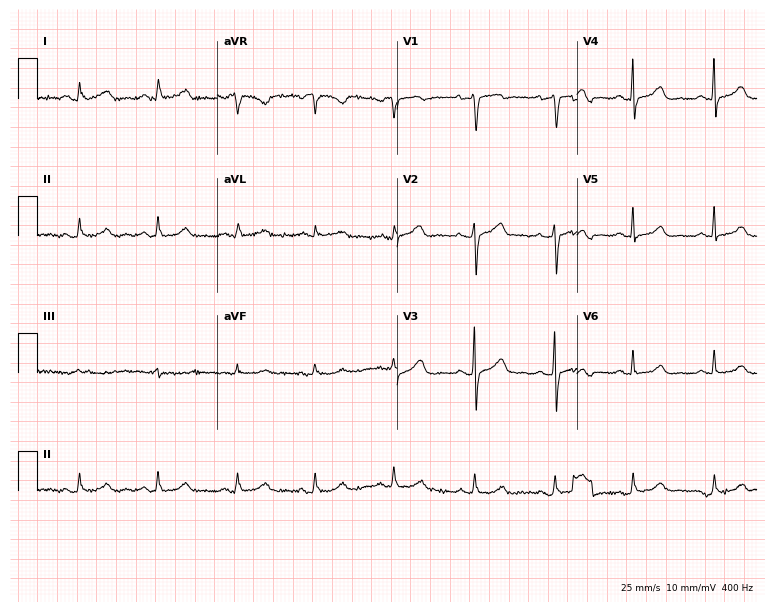
Electrocardiogram, a woman, 49 years old. Overall reading on record: normal ECG.